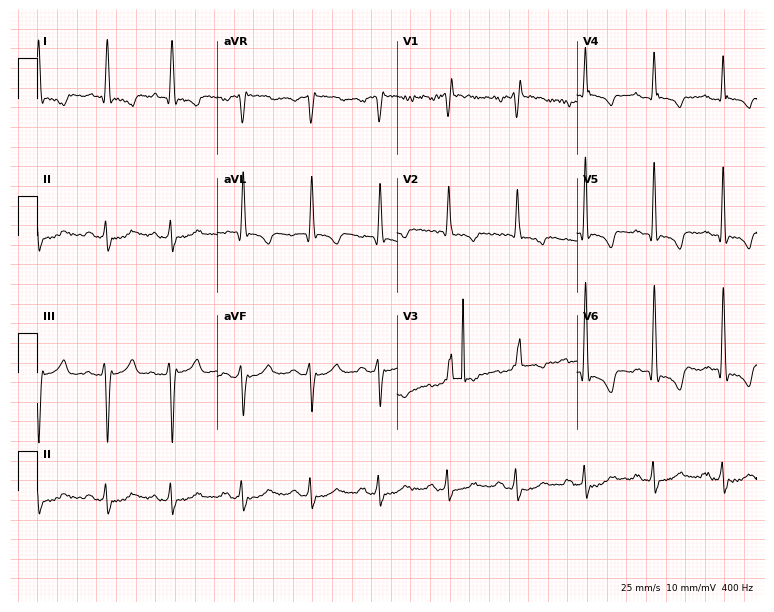
12-lead ECG from a male patient, 81 years old (7.3-second recording at 400 Hz). No first-degree AV block, right bundle branch block (RBBB), left bundle branch block (LBBB), sinus bradycardia, atrial fibrillation (AF) or sinus tachycardia recorded for this tracing.